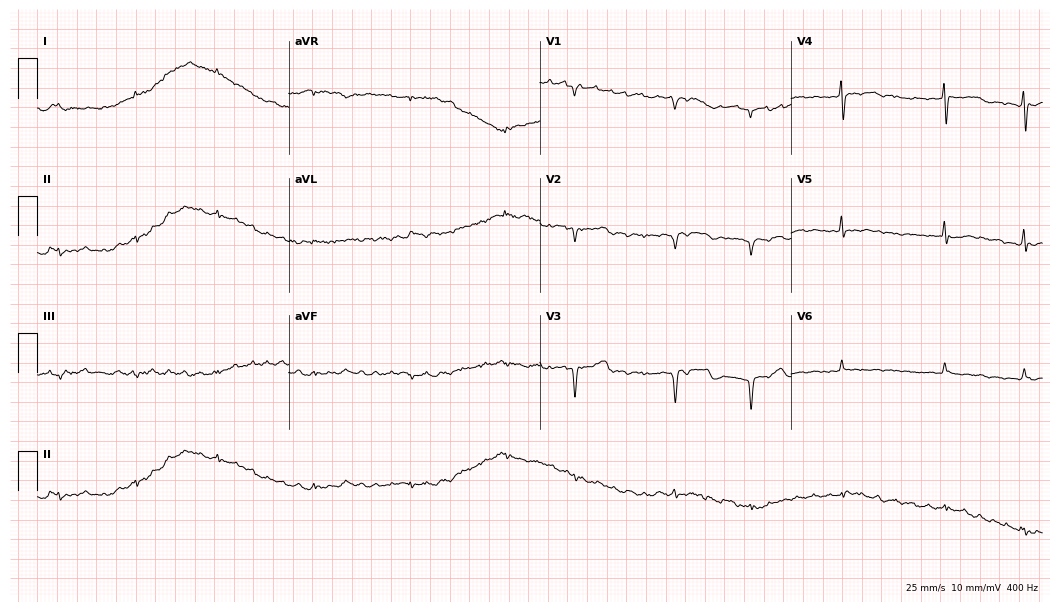
12-lead ECG from a female, 82 years old. No first-degree AV block, right bundle branch block (RBBB), left bundle branch block (LBBB), sinus bradycardia, atrial fibrillation (AF) or sinus tachycardia recorded for this tracing. Only these six findings were labelled.